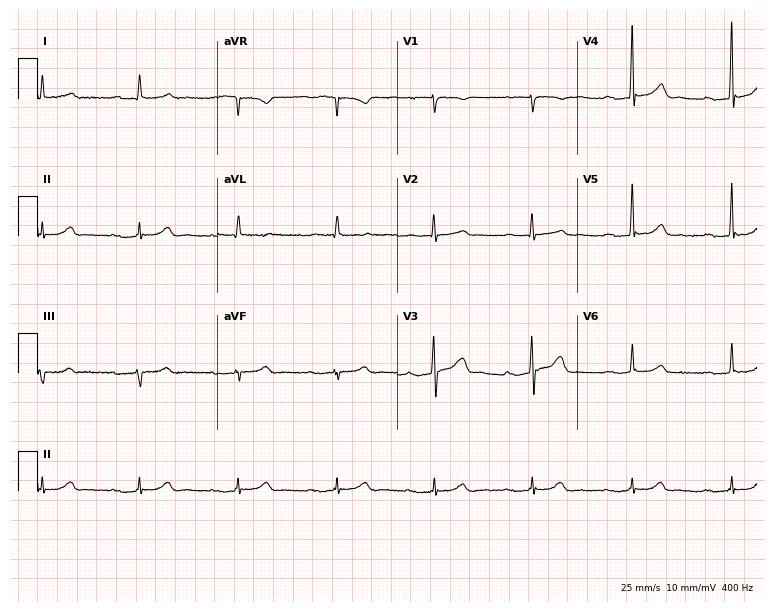
ECG (7.3-second recording at 400 Hz) — a male patient, 75 years old. Findings include first-degree AV block.